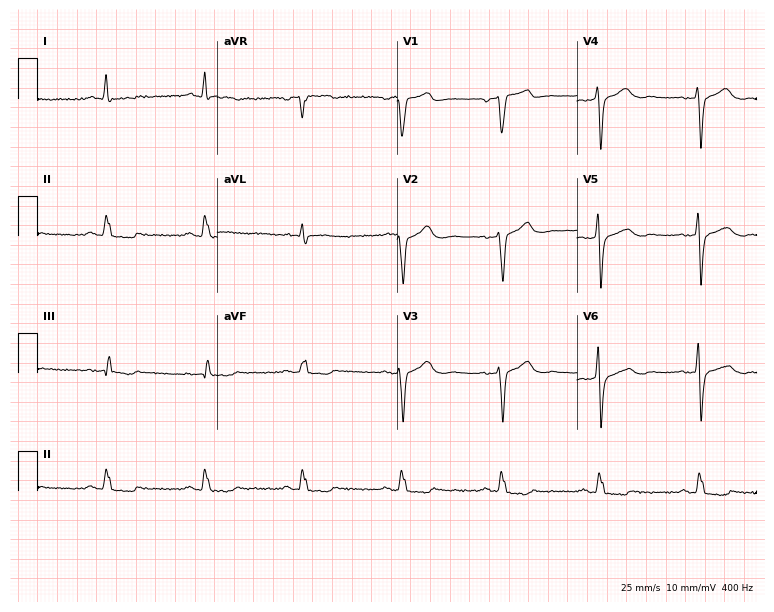
12-lead ECG (7.3-second recording at 400 Hz) from a man, 69 years old. Screened for six findings — first-degree AV block, right bundle branch block, left bundle branch block, sinus bradycardia, atrial fibrillation, sinus tachycardia — none is recorded. Only these six findings were labelled.